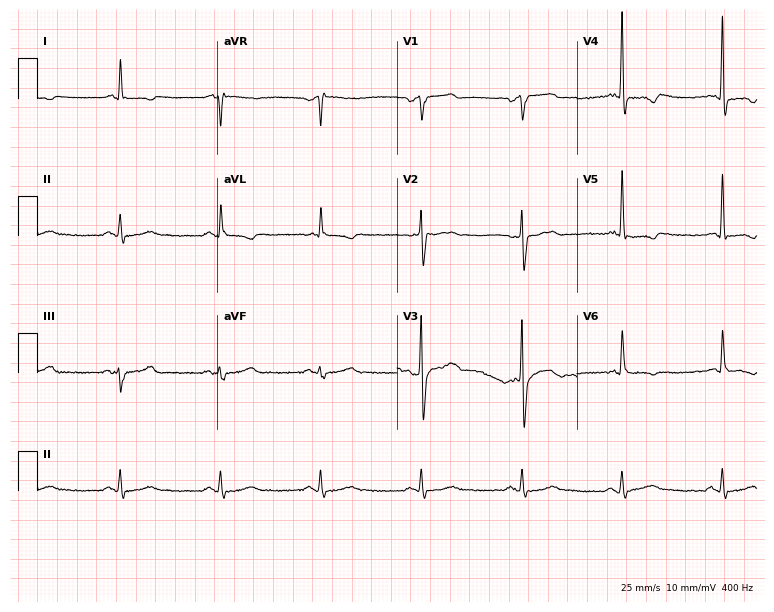
Electrocardiogram, a male patient, 73 years old. Of the six screened findings (first-degree AV block, right bundle branch block (RBBB), left bundle branch block (LBBB), sinus bradycardia, atrial fibrillation (AF), sinus tachycardia), none is recorded.